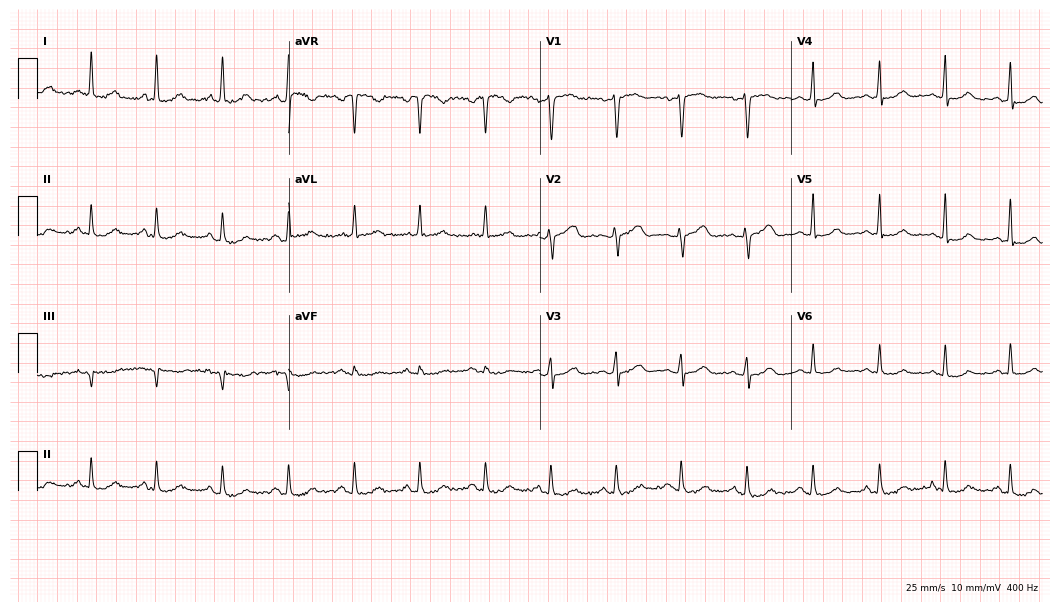
Standard 12-lead ECG recorded from a 55-year-old female patient. Read as a normal ECG.